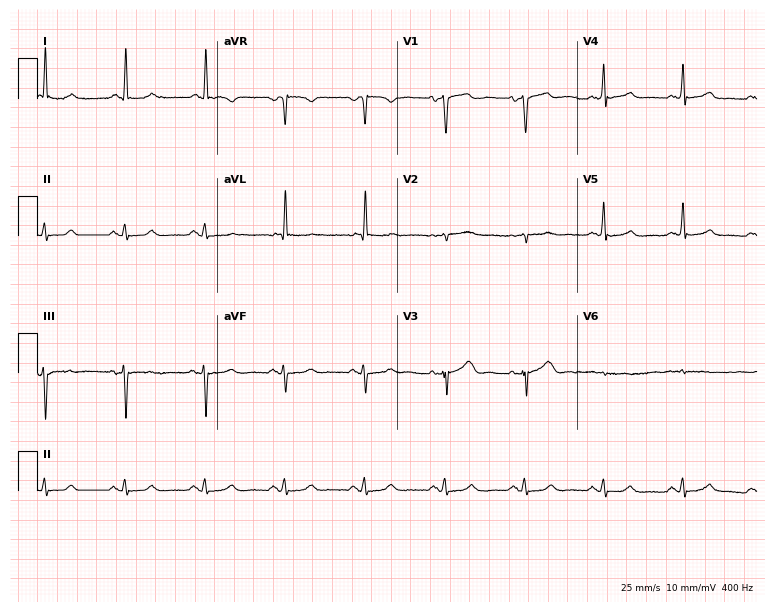
Electrocardiogram (7.3-second recording at 400 Hz), a female patient, 76 years old. Of the six screened findings (first-degree AV block, right bundle branch block, left bundle branch block, sinus bradycardia, atrial fibrillation, sinus tachycardia), none is recorded. Only these six findings were labelled.